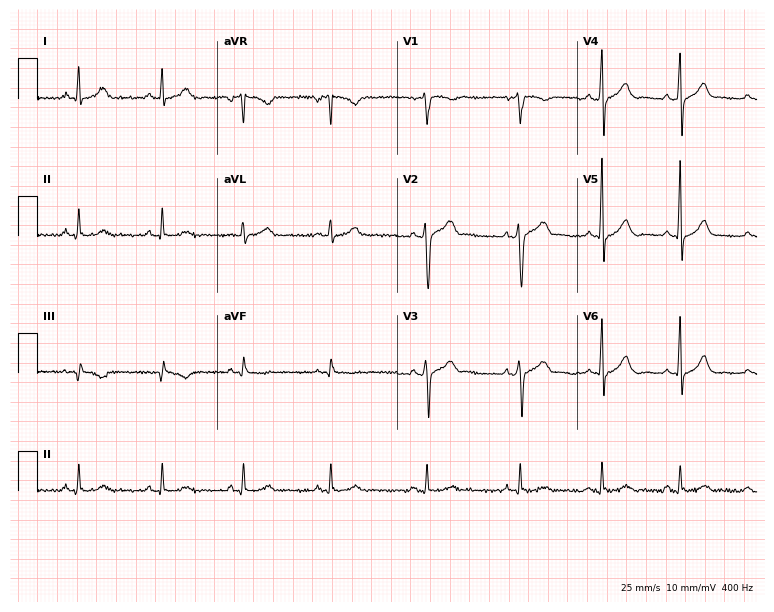
ECG (7.3-second recording at 400 Hz) — a man, 39 years old. Labelled as a normal ECG.